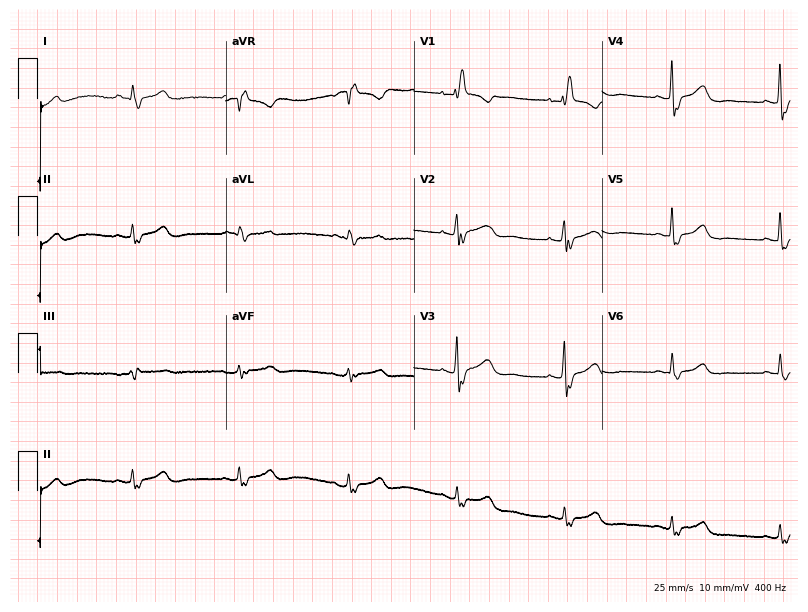
ECG (7.7-second recording at 400 Hz) — a woman, 72 years old. Screened for six findings — first-degree AV block, right bundle branch block (RBBB), left bundle branch block (LBBB), sinus bradycardia, atrial fibrillation (AF), sinus tachycardia — none is recorded.